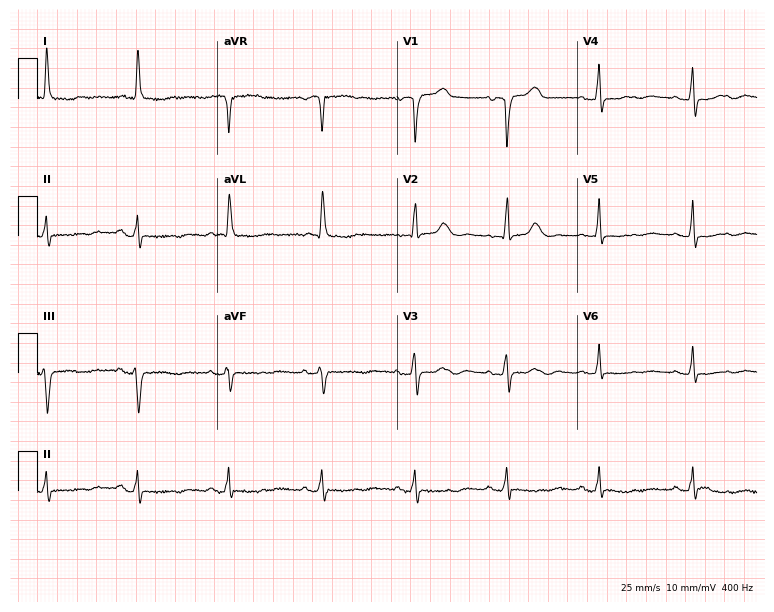
12-lead ECG from a female patient, 85 years old. No first-degree AV block, right bundle branch block (RBBB), left bundle branch block (LBBB), sinus bradycardia, atrial fibrillation (AF) or sinus tachycardia recorded for this tracing. Other findings, if any, are not listed.